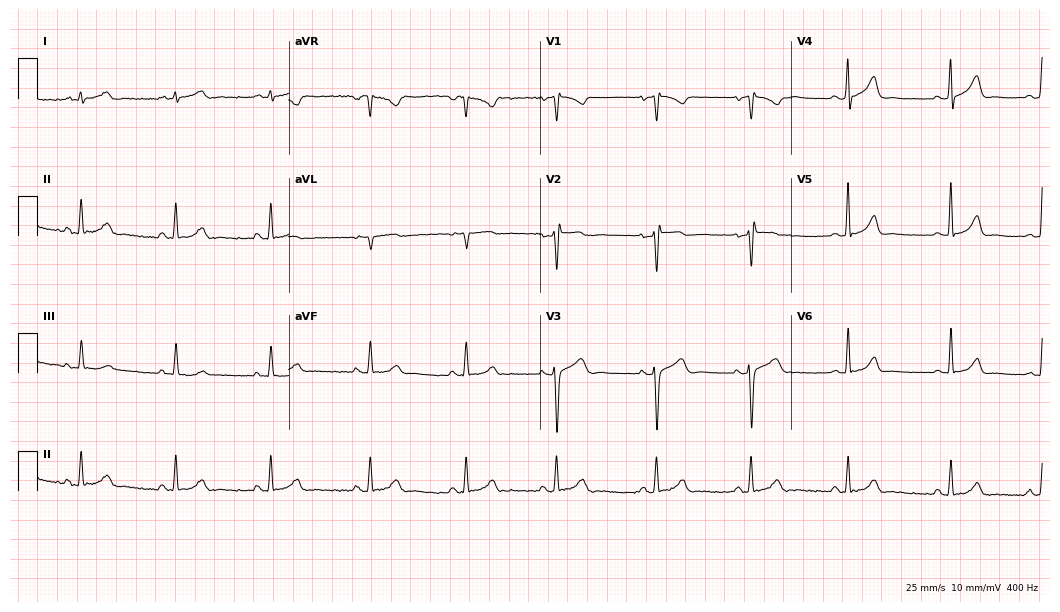
Resting 12-lead electrocardiogram. Patient: a female, 18 years old. None of these six findings is recorded: first-degree AV block, right bundle branch block, left bundle branch block, sinus bradycardia, atrial fibrillation, sinus tachycardia. Only these six findings were labelled.